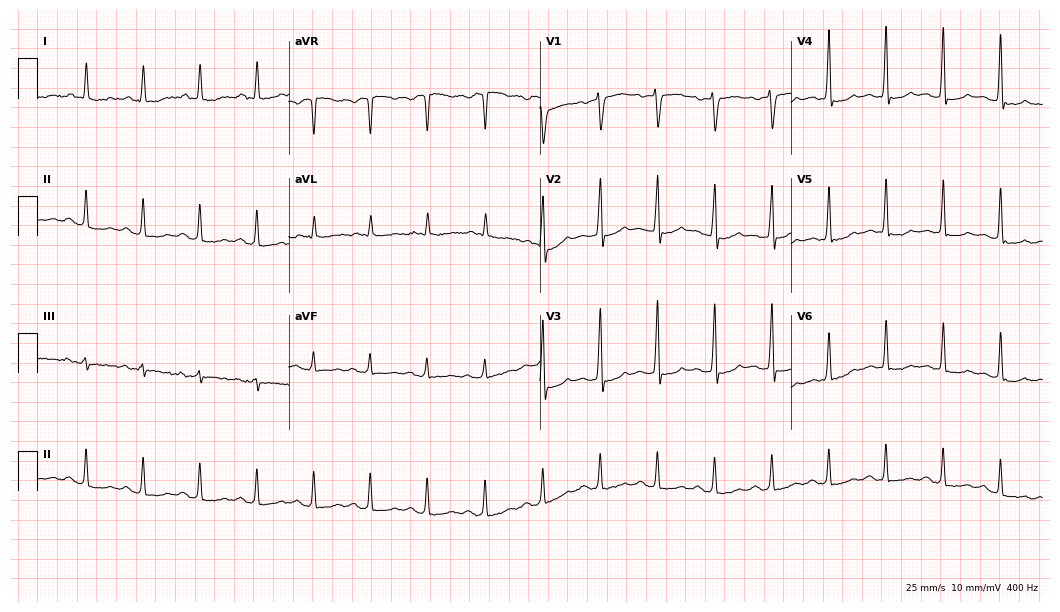
Resting 12-lead electrocardiogram (10.2-second recording at 400 Hz). Patient: a man, 41 years old. The tracing shows sinus tachycardia (a sinus rate of 100 beats per minute or more).